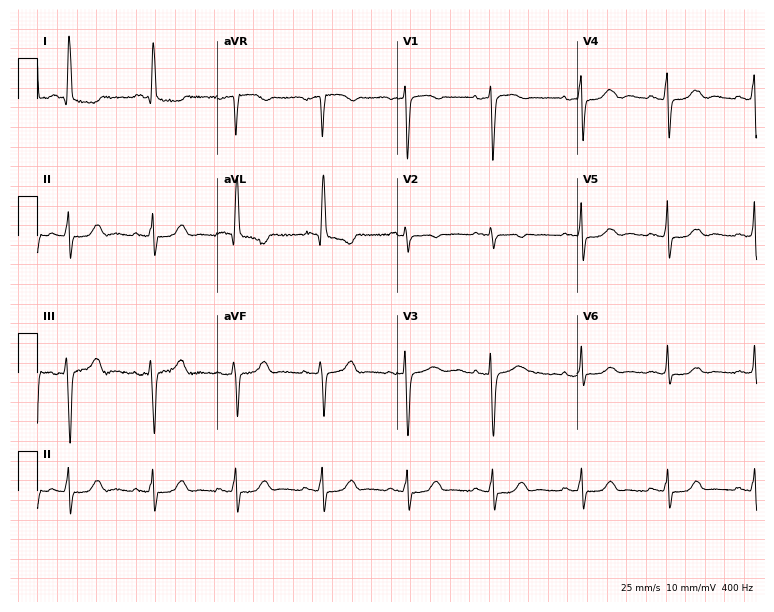
Electrocardiogram (7.3-second recording at 400 Hz), a female patient, 81 years old. Of the six screened findings (first-degree AV block, right bundle branch block (RBBB), left bundle branch block (LBBB), sinus bradycardia, atrial fibrillation (AF), sinus tachycardia), none is recorded. Only these six findings were labelled.